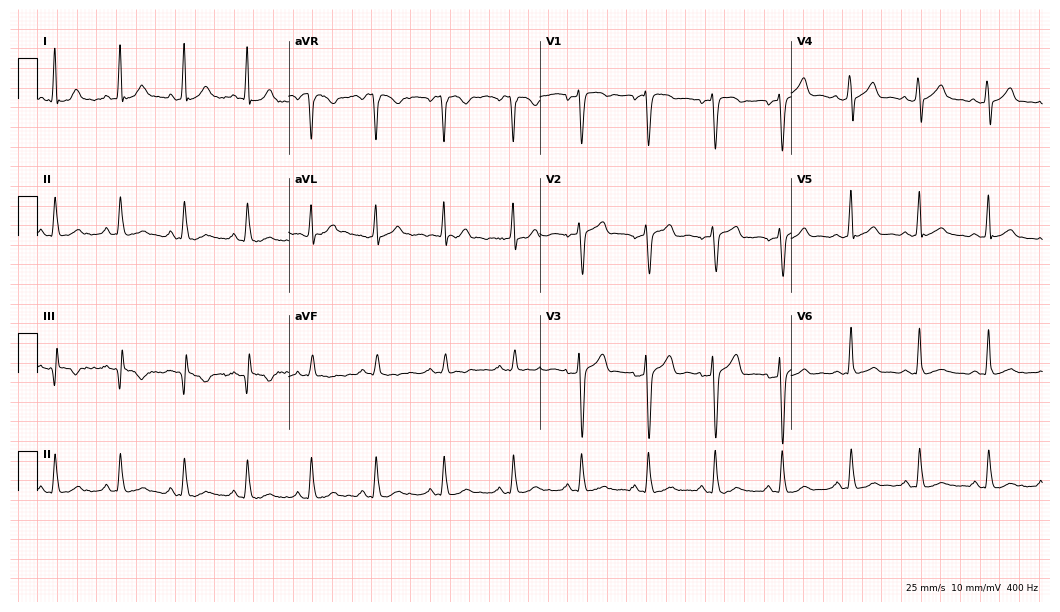
Resting 12-lead electrocardiogram. Patient: a female, 35 years old. Read as a normal ECG.